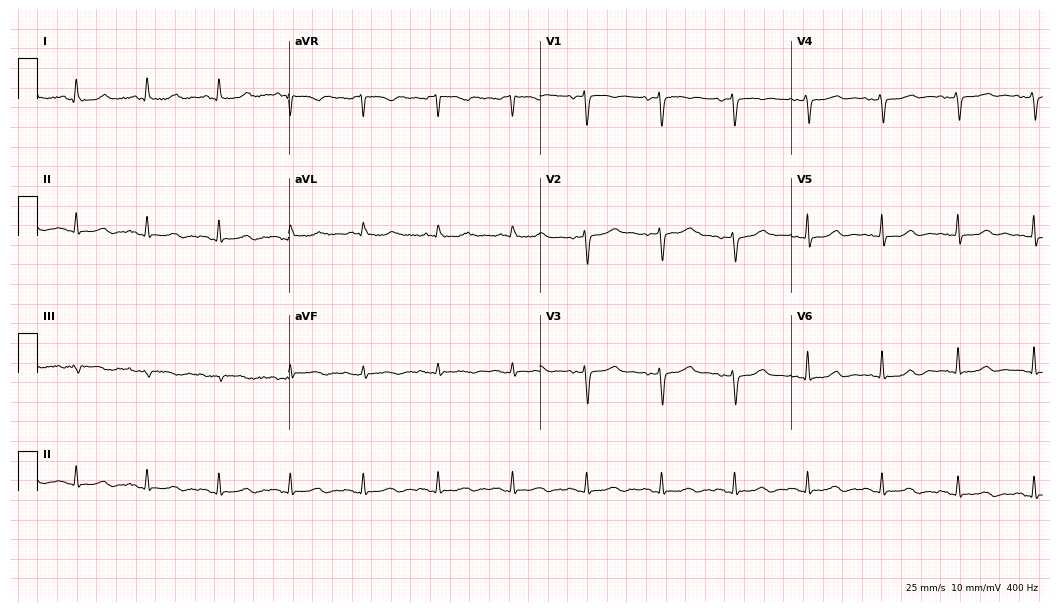
12-lead ECG from a 58-year-old female patient. Labelled as a normal ECG.